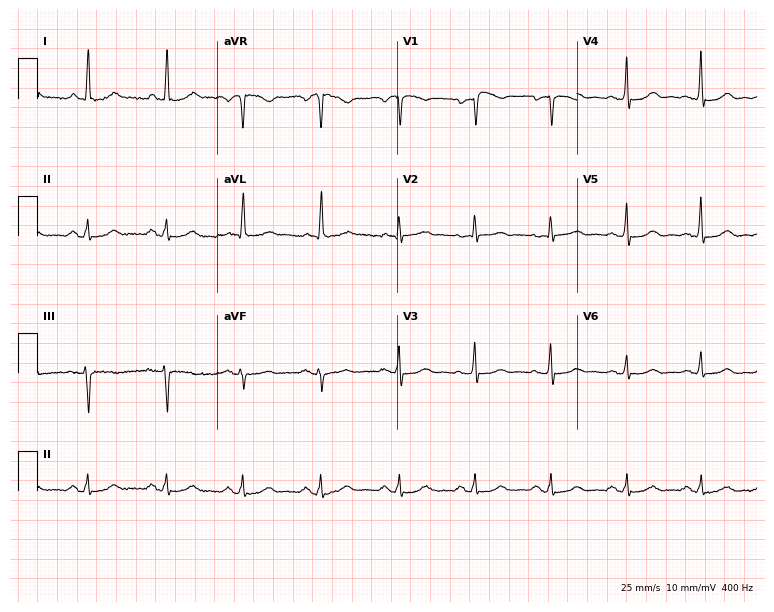
ECG — a 63-year-old female patient. Labelled as a normal ECG.